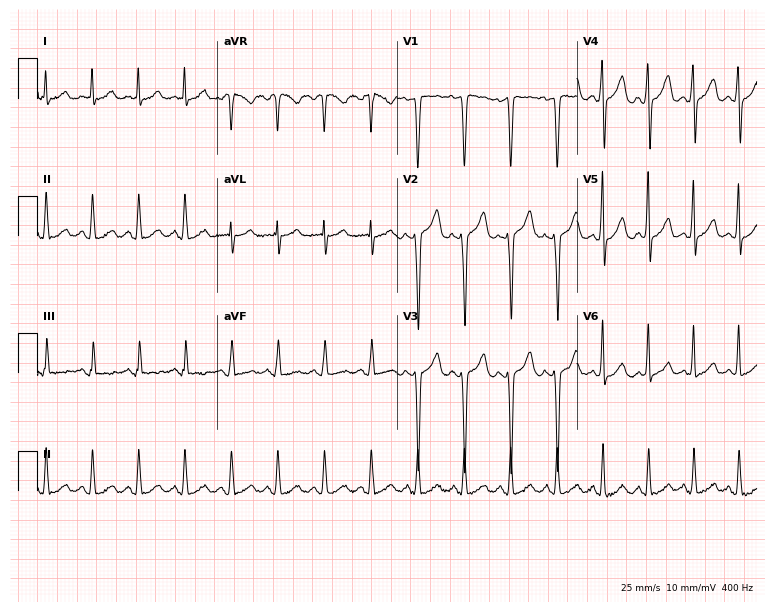
12-lead ECG from a 41-year-old female. Shows sinus tachycardia (a sinus rate of 100 beats per minute or more).